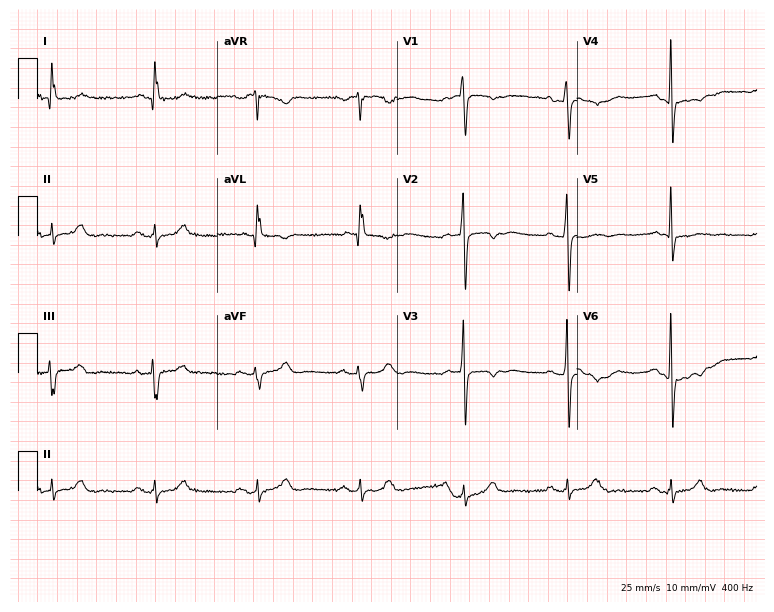
ECG (7.3-second recording at 400 Hz) — a 75-year-old woman. Screened for six findings — first-degree AV block, right bundle branch block (RBBB), left bundle branch block (LBBB), sinus bradycardia, atrial fibrillation (AF), sinus tachycardia — none is recorded.